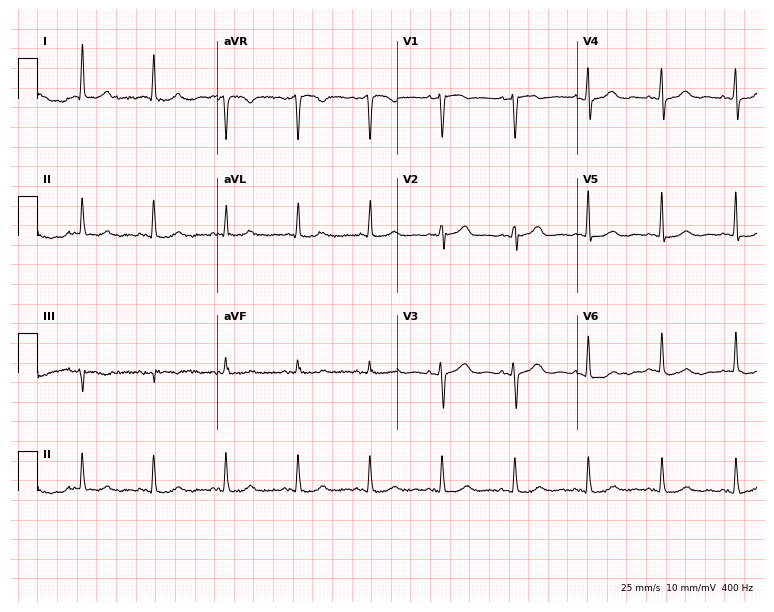
ECG (7.3-second recording at 400 Hz) — a 74-year-old female patient. Screened for six findings — first-degree AV block, right bundle branch block, left bundle branch block, sinus bradycardia, atrial fibrillation, sinus tachycardia — none is recorded. Other findings, if any, are not listed.